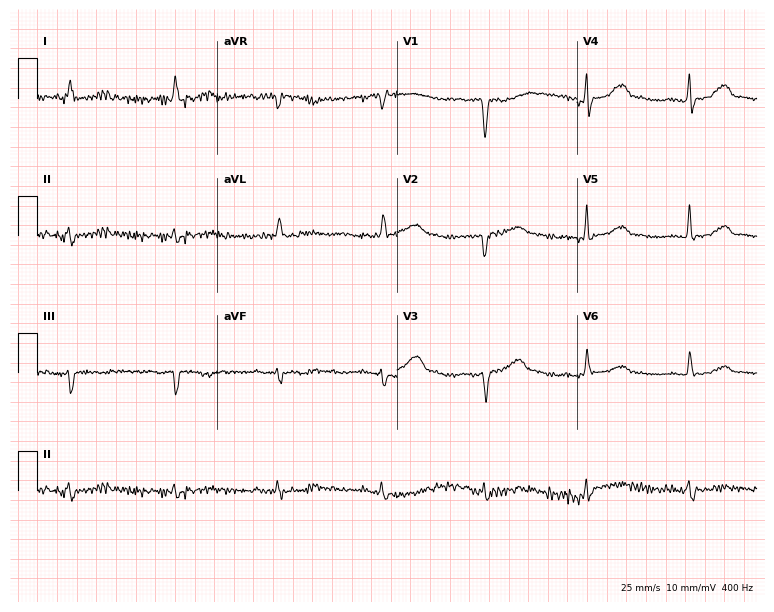
12-lead ECG from a 71-year-old man. Screened for six findings — first-degree AV block, right bundle branch block, left bundle branch block, sinus bradycardia, atrial fibrillation, sinus tachycardia — none is recorded. Other findings, if any, are not listed.